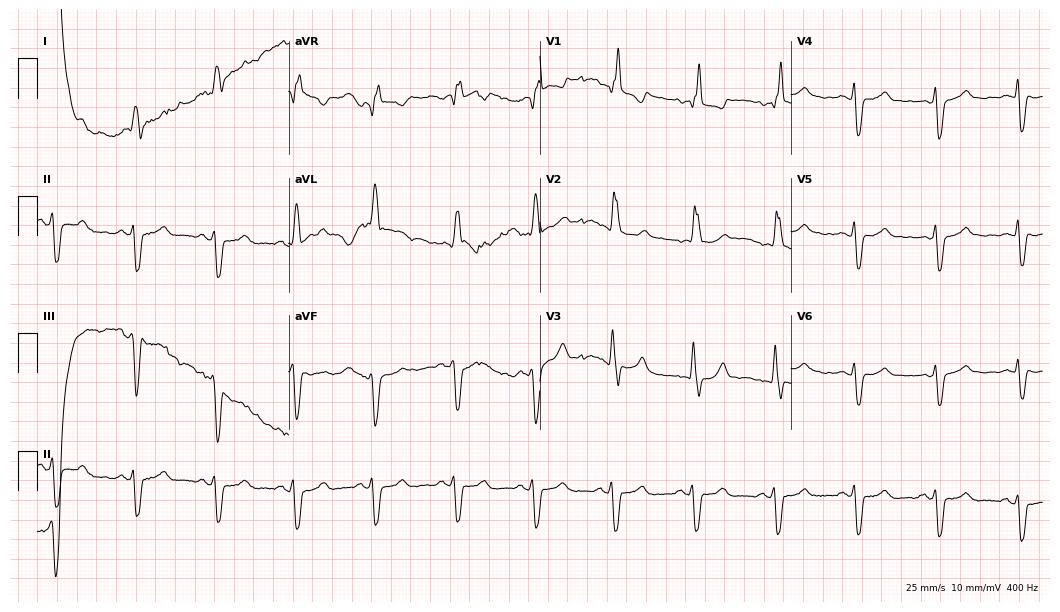
12-lead ECG (10.2-second recording at 400 Hz) from a female patient, 74 years old. Findings include right bundle branch block.